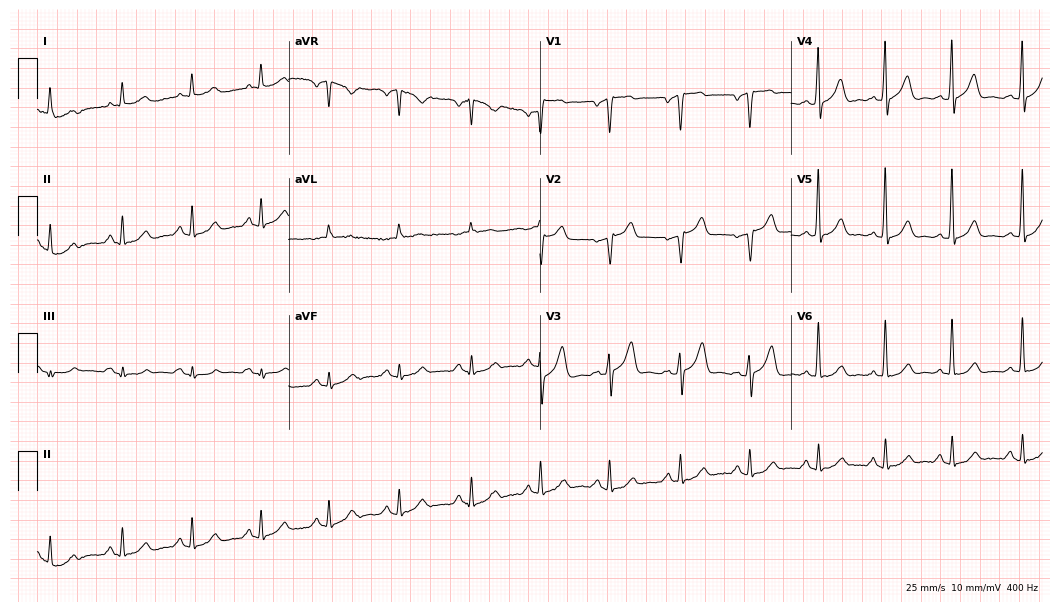
12-lead ECG from a 62-year-old man (10.2-second recording at 400 Hz). No first-degree AV block, right bundle branch block, left bundle branch block, sinus bradycardia, atrial fibrillation or sinus tachycardia recorded for this tracing. Other findings, if any, are not listed.